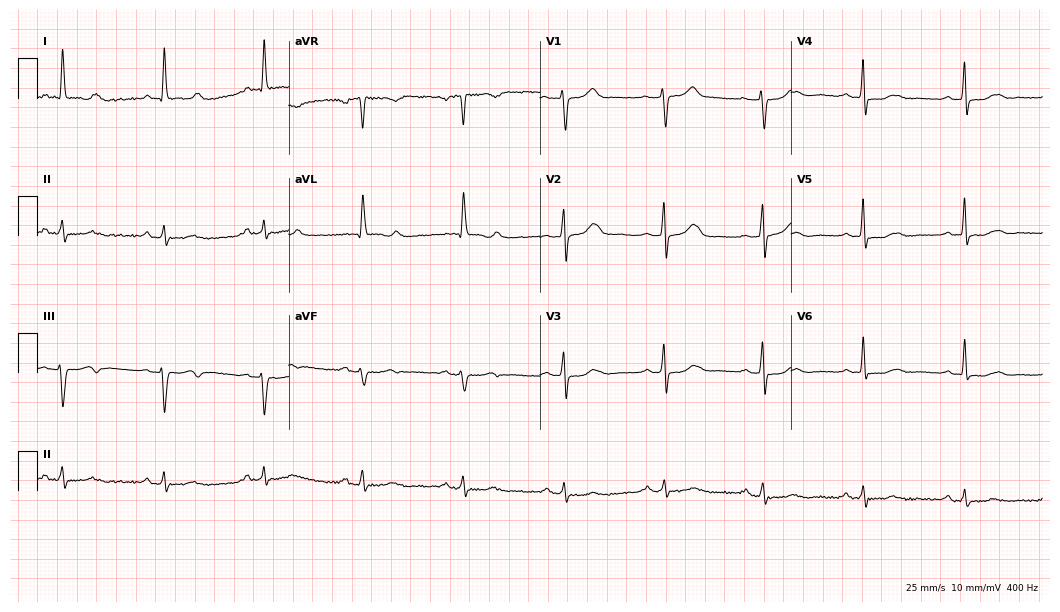
Resting 12-lead electrocardiogram (10.2-second recording at 400 Hz). Patient: a woman, 83 years old. None of these six findings is recorded: first-degree AV block, right bundle branch block (RBBB), left bundle branch block (LBBB), sinus bradycardia, atrial fibrillation (AF), sinus tachycardia. Findings outside these six are not listed.